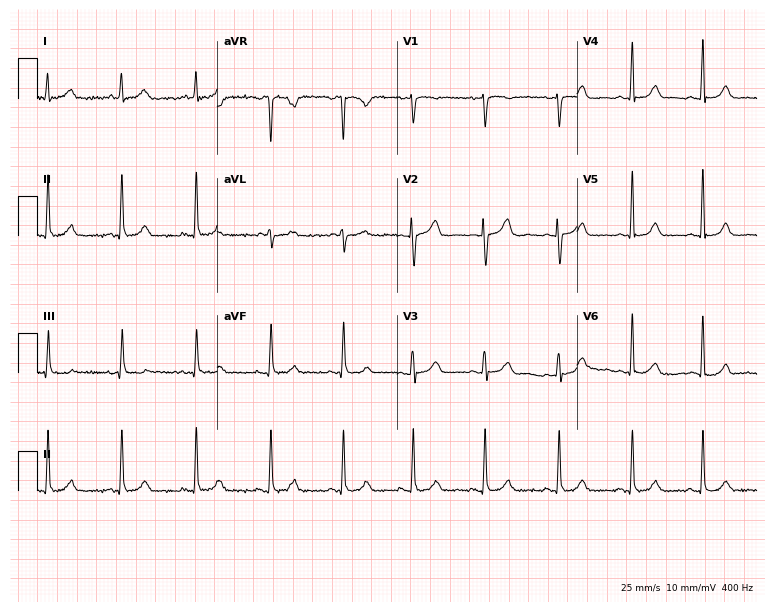
Resting 12-lead electrocardiogram. Patient: a 47-year-old female. Read as a normal ECG.